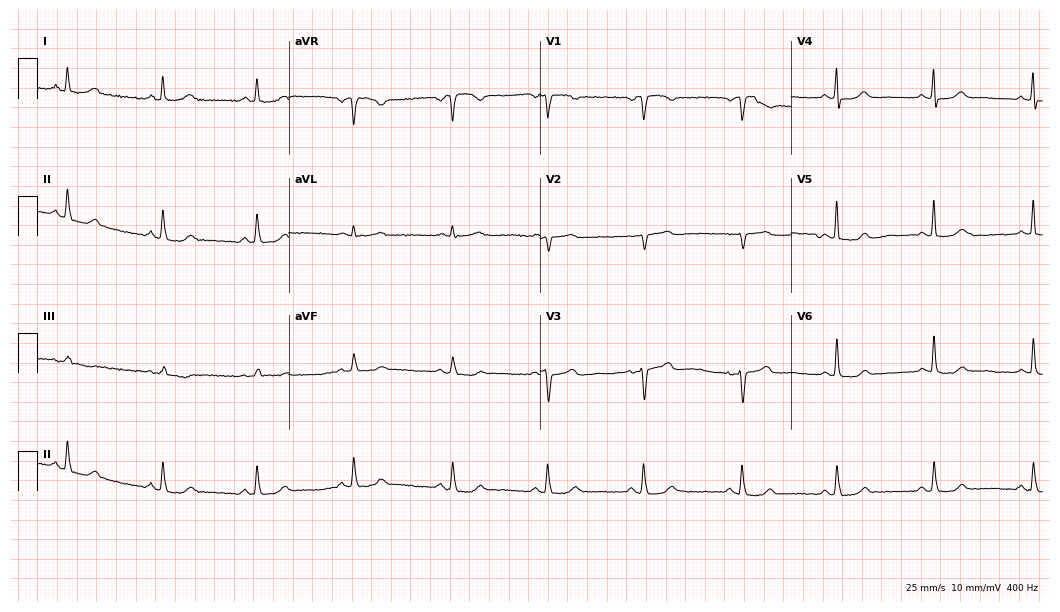
12-lead ECG (10.2-second recording at 400 Hz) from a 69-year-old female. Screened for six findings — first-degree AV block, right bundle branch block, left bundle branch block, sinus bradycardia, atrial fibrillation, sinus tachycardia — none is recorded. Other findings, if any, are not listed.